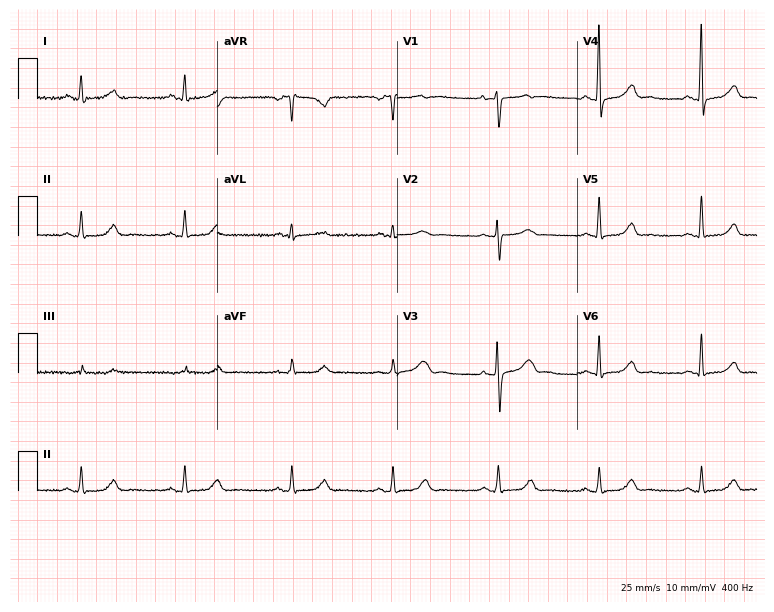
Standard 12-lead ECG recorded from a 31-year-old woman (7.3-second recording at 400 Hz). Read as a normal ECG.